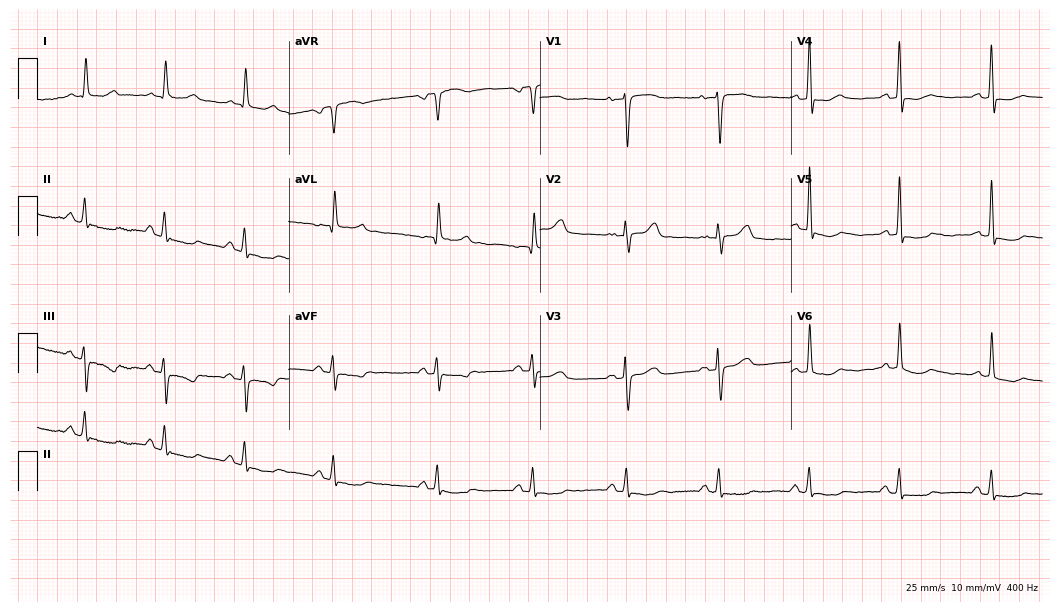
Standard 12-lead ECG recorded from a 77-year-old woman (10.2-second recording at 400 Hz). None of these six findings is recorded: first-degree AV block, right bundle branch block (RBBB), left bundle branch block (LBBB), sinus bradycardia, atrial fibrillation (AF), sinus tachycardia.